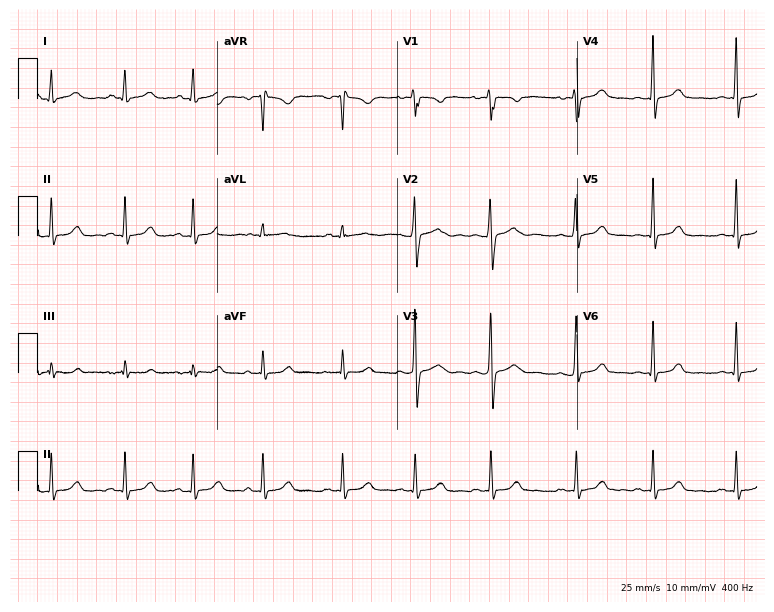
Electrocardiogram (7.3-second recording at 400 Hz), a 19-year-old female patient. Overall reading on record: normal ECG.